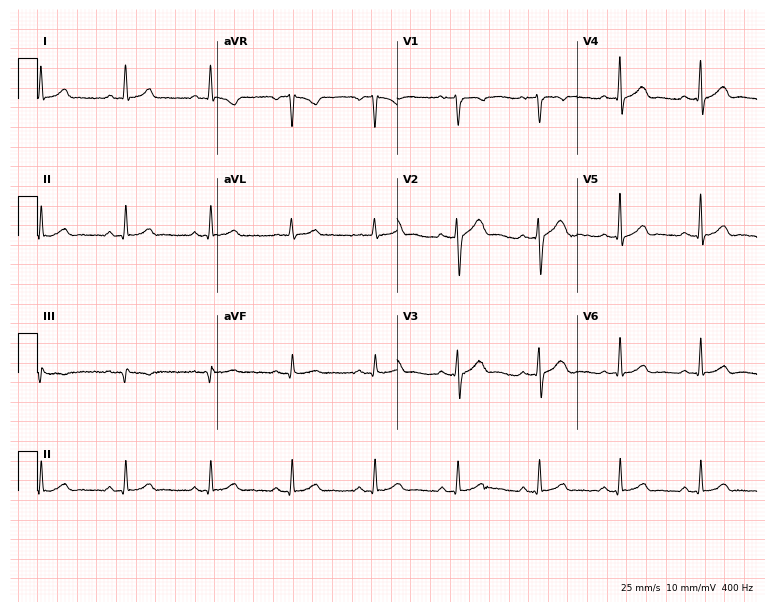
Resting 12-lead electrocardiogram (7.3-second recording at 400 Hz). Patient: a male, 29 years old. Read as a normal ECG.